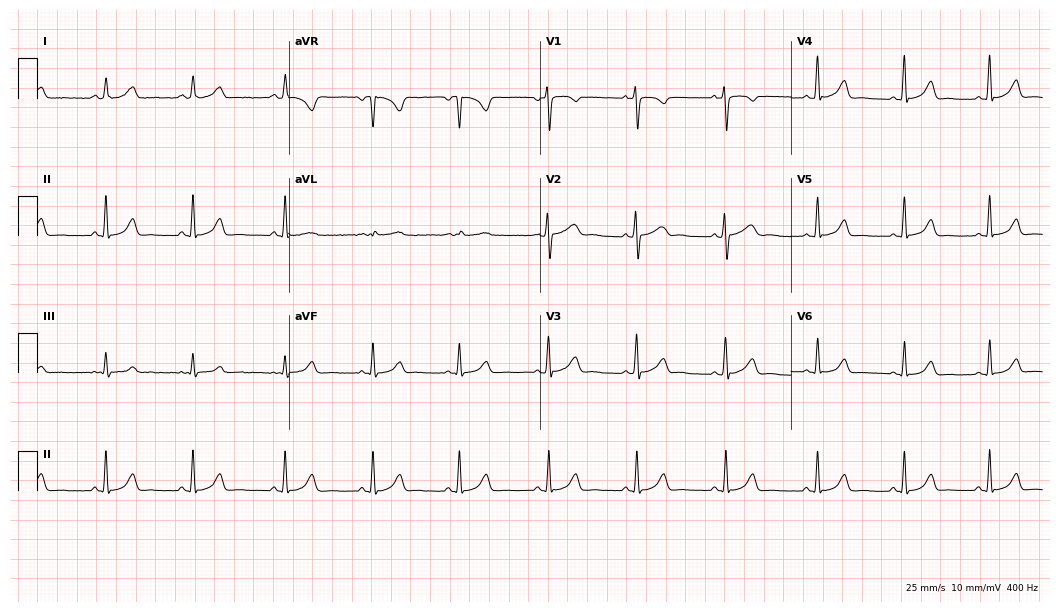
Resting 12-lead electrocardiogram (10.2-second recording at 400 Hz). Patient: a female, 28 years old. Read as a normal ECG.